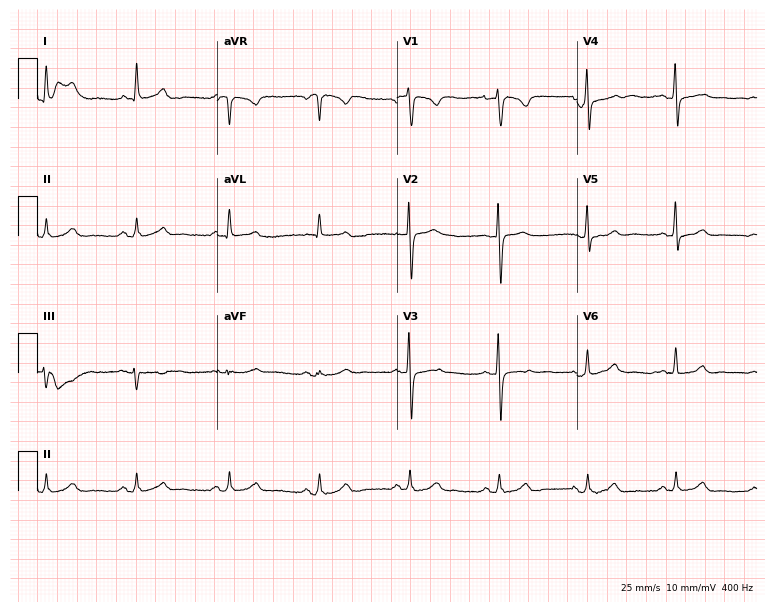
Electrocardiogram (7.3-second recording at 400 Hz), a man, 54 years old. Overall reading on record: normal ECG.